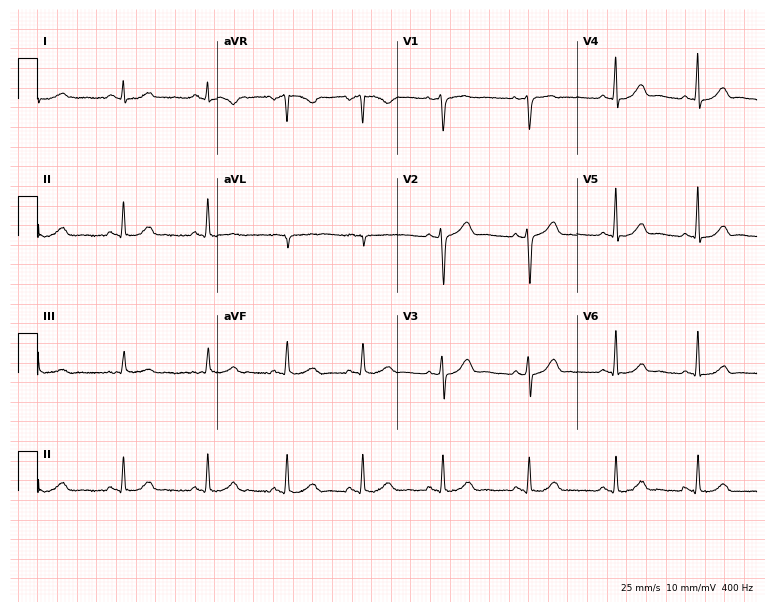
ECG (7.3-second recording at 400 Hz) — a female patient, 32 years old. Labelled as a normal ECG.